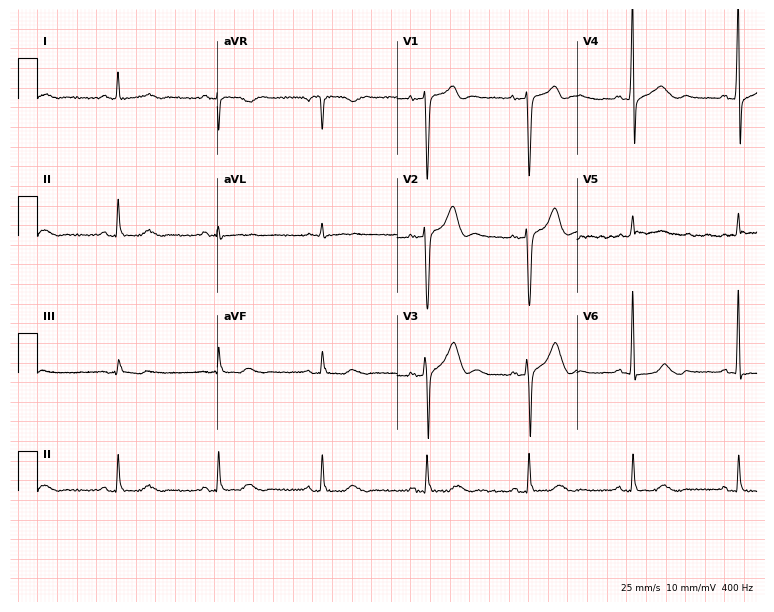
Standard 12-lead ECG recorded from a male patient, 63 years old (7.3-second recording at 400 Hz). Read as a normal ECG.